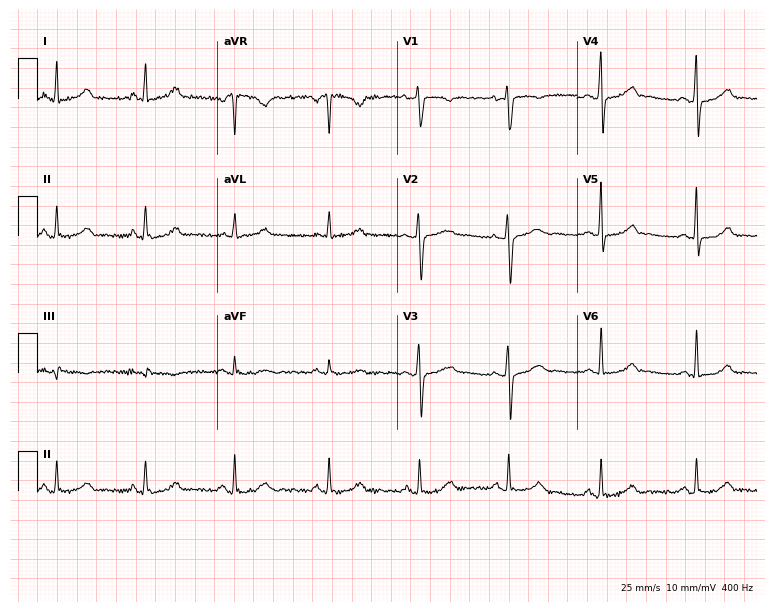
Standard 12-lead ECG recorded from a woman, 45 years old (7.3-second recording at 400 Hz). Read as a normal ECG.